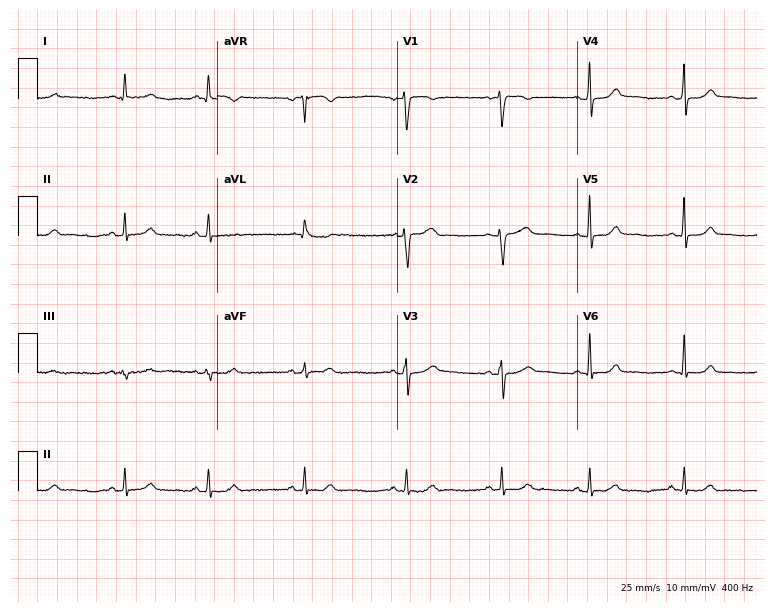
Resting 12-lead electrocardiogram (7.3-second recording at 400 Hz). Patient: a 45-year-old female. None of these six findings is recorded: first-degree AV block, right bundle branch block (RBBB), left bundle branch block (LBBB), sinus bradycardia, atrial fibrillation (AF), sinus tachycardia. Other findings, if any, are not listed.